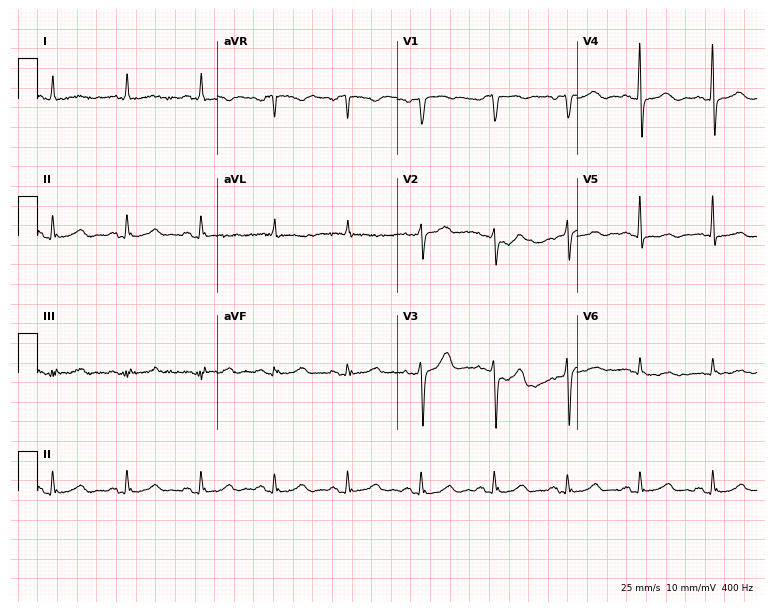
Electrocardiogram (7.3-second recording at 400 Hz), a 60-year-old woman. Of the six screened findings (first-degree AV block, right bundle branch block, left bundle branch block, sinus bradycardia, atrial fibrillation, sinus tachycardia), none is recorded.